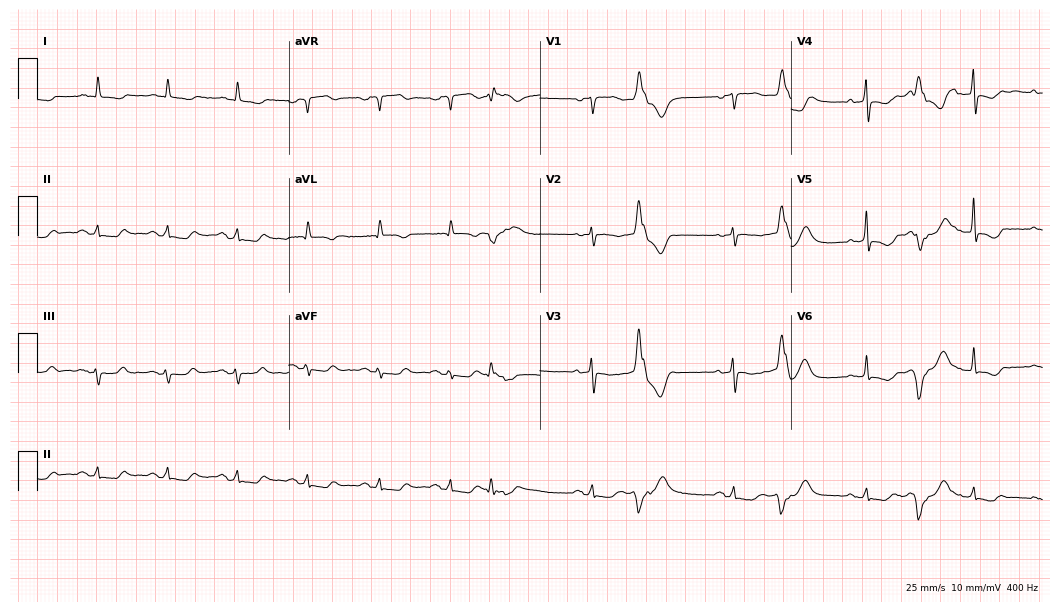
ECG (10.2-second recording at 400 Hz) — a female patient, 79 years old. Screened for six findings — first-degree AV block, right bundle branch block, left bundle branch block, sinus bradycardia, atrial fibrillation, sinus tachycardia — none is recorded.